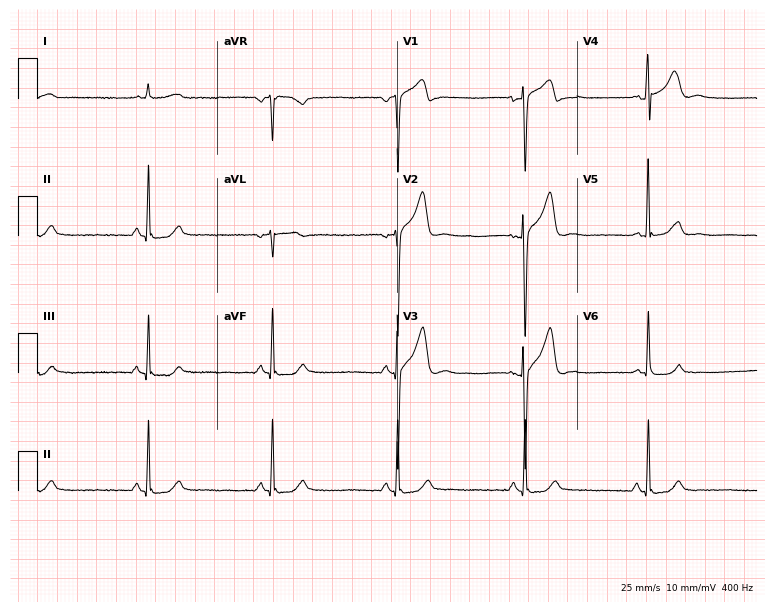
Electrocardiogram (7.3-second recording at 400 Hz), a 43-year-old man. Overall reading on record: normal ECG.